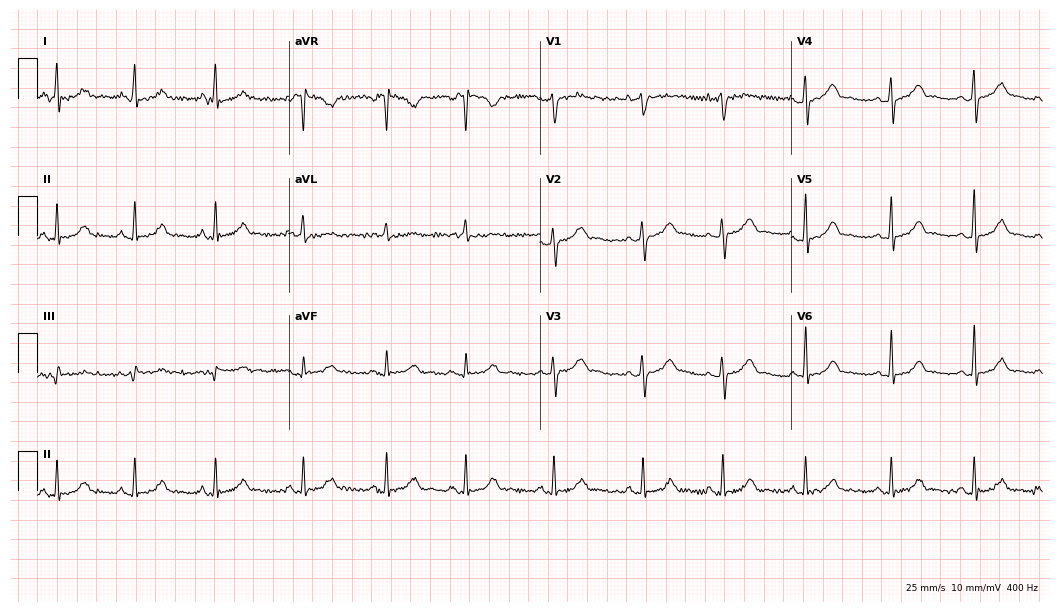
12-lead ECG from a 27-year-old female (10.2-second recording at 400 Hz). Recorded interpretation: within normal limits.